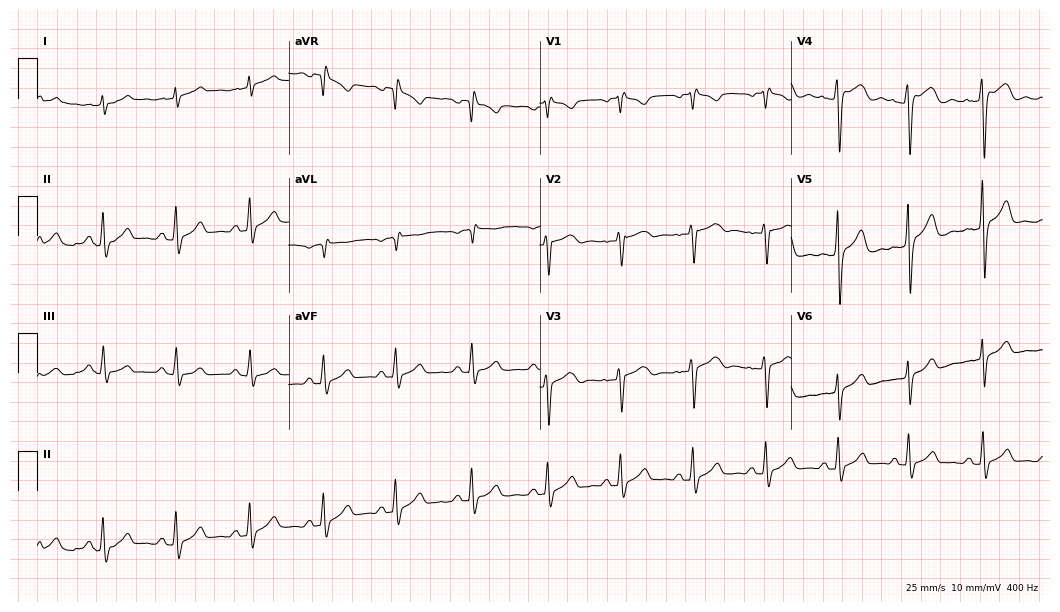
12-lead ECG from a 29-year-old man (10.2-second recording at 400 Hz). No first-degree AV block, right bundle branch block, left bundle branch block, sinus bradycardia, atrial fibrillation or sinus tachycardia recorded for this tracing. Only these six findings were labelled.